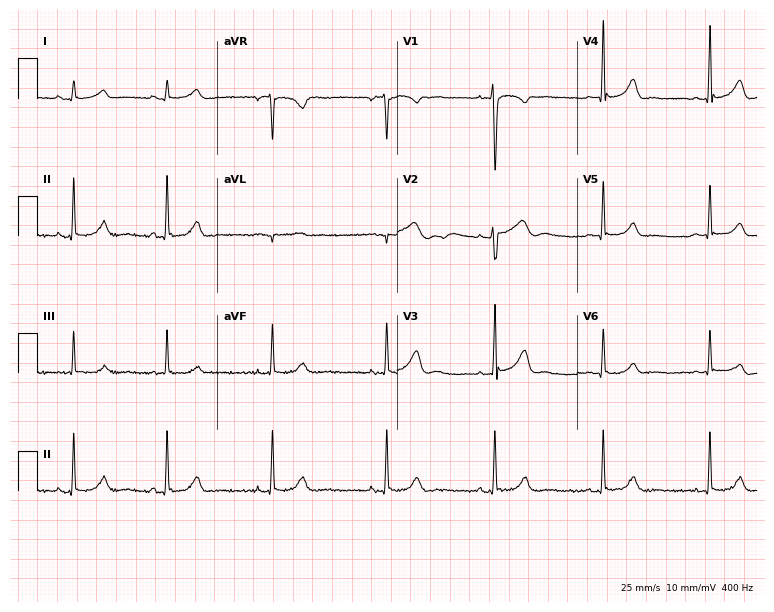
Standard 12-lead ECG recorded from a 30-year-old woman. None of these six findings is recorded: first-degree AV block, right bundle branch block, left bundle branch block, sinus bradycardia, atrial fibrillation, sinus tachycardia.